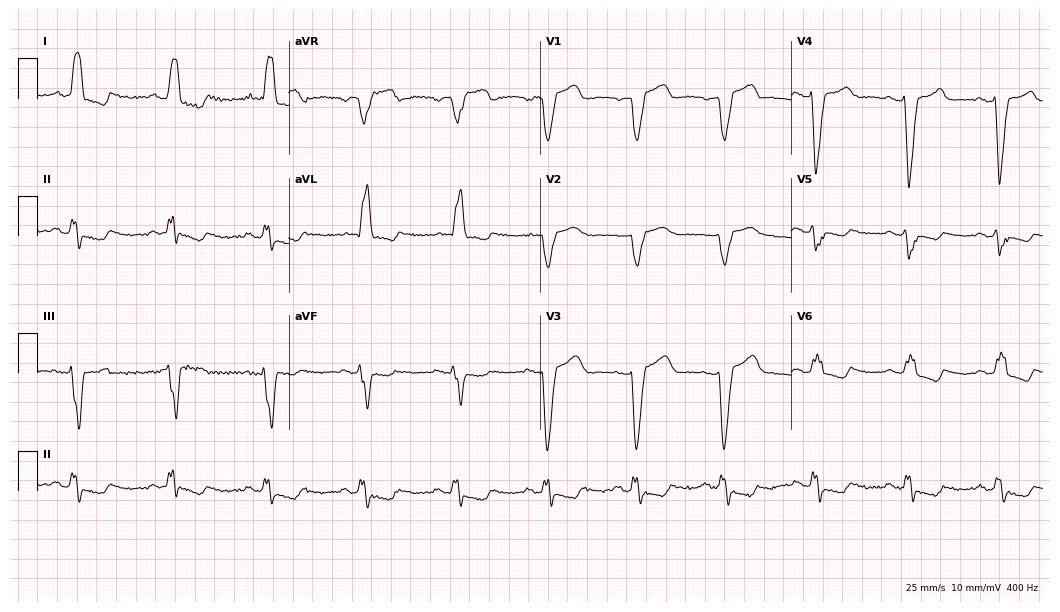
Standard 12-lead ECG recorded from a 66-year-old woman. The tracing shows left bundle branch block (LBBB).